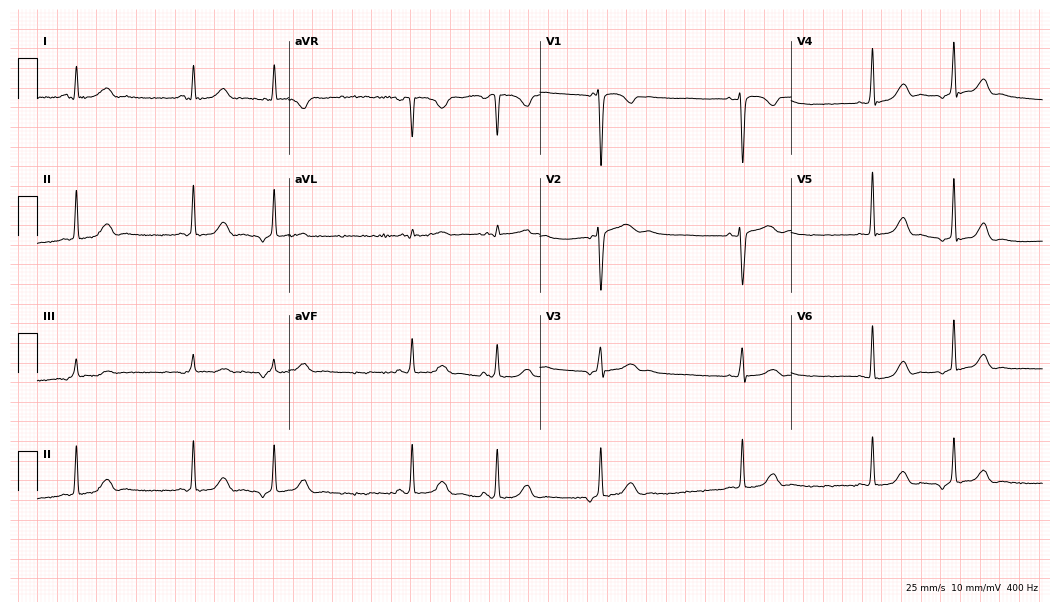
ECG (10.2-second recording at 400 Hz) — a 34-year-old female patient. Screened for six findings — first-degree AV block, right bundle branch block (RBBB), left bundle branch block (LBBB), sinus bradycardia, atrial fibrillation (AF), sinus tachycardia — none is recorded.